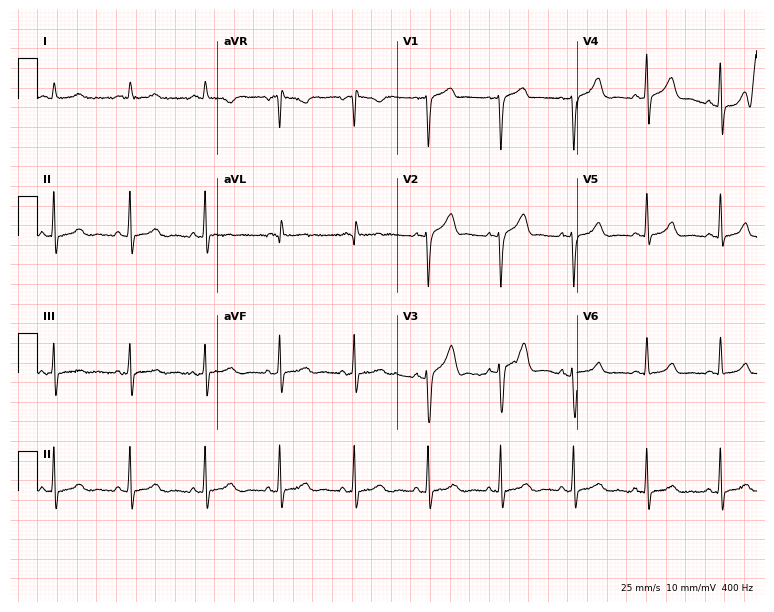
12-lead ECG (7.3-second recording at 400 Hz) from a 56-year-old man. Labelled as a normal ECG.